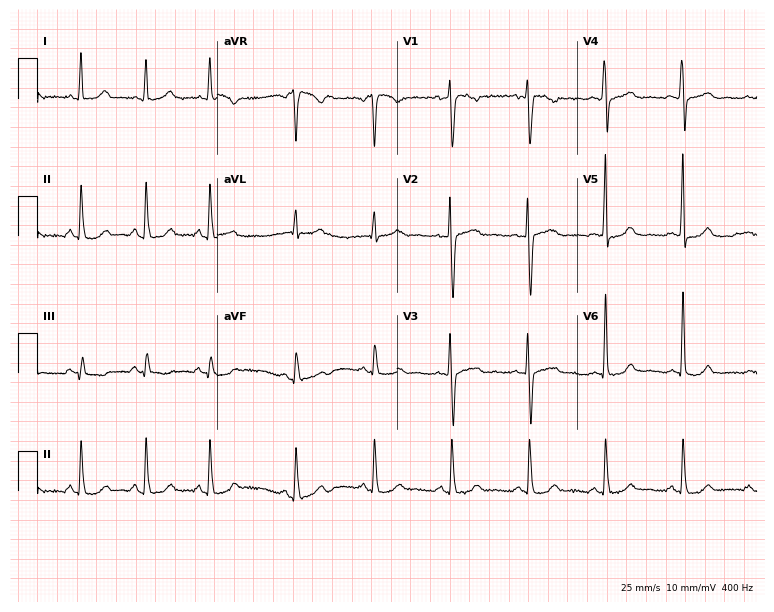
Resting 12-lead electrocardiogram. Patient: a female, 42 years old. Read as a normal ECG.